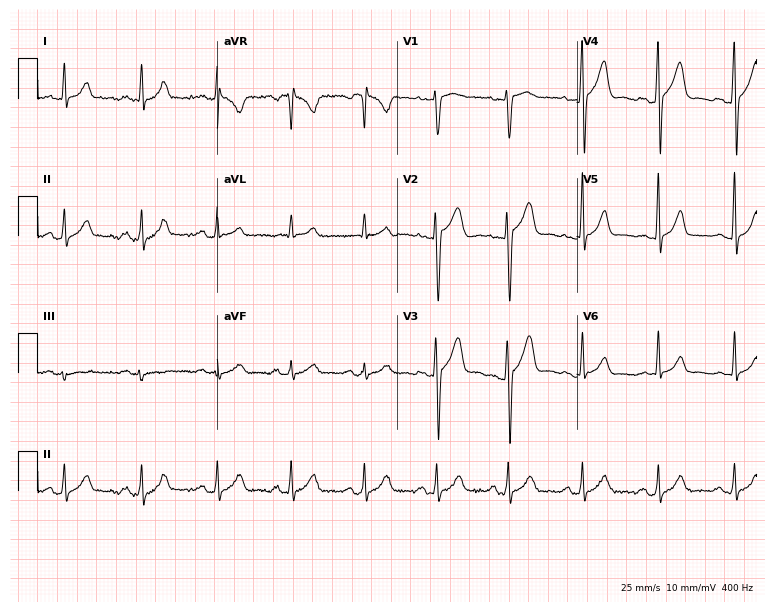
Standard 12-lead ECG recorded from a male, 25 years old. Read as a normal ECG.